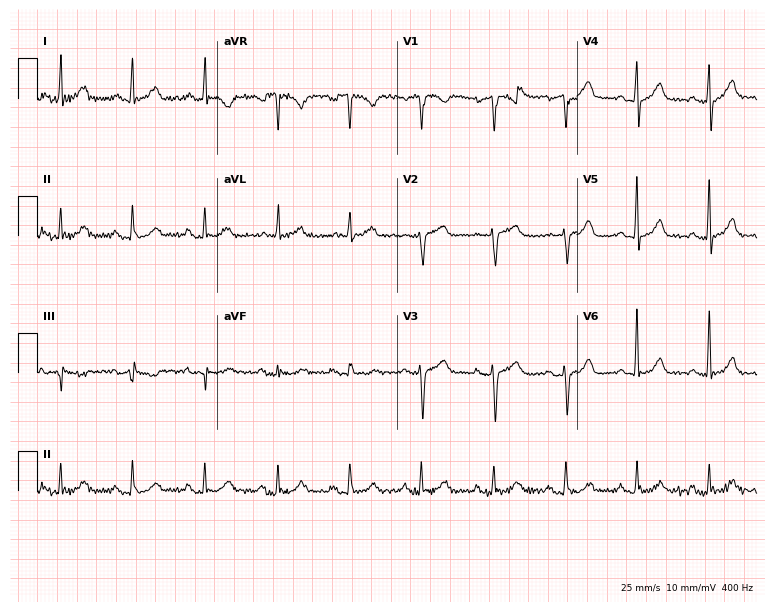
12-lead ECG from an 82-year-old female patient. Screened for six findings — first-degree AV block, right bundle branch block, left bundle branch block, sinus bradycardia, atrial fibrillation, sinus tachycardia — none is recorded.